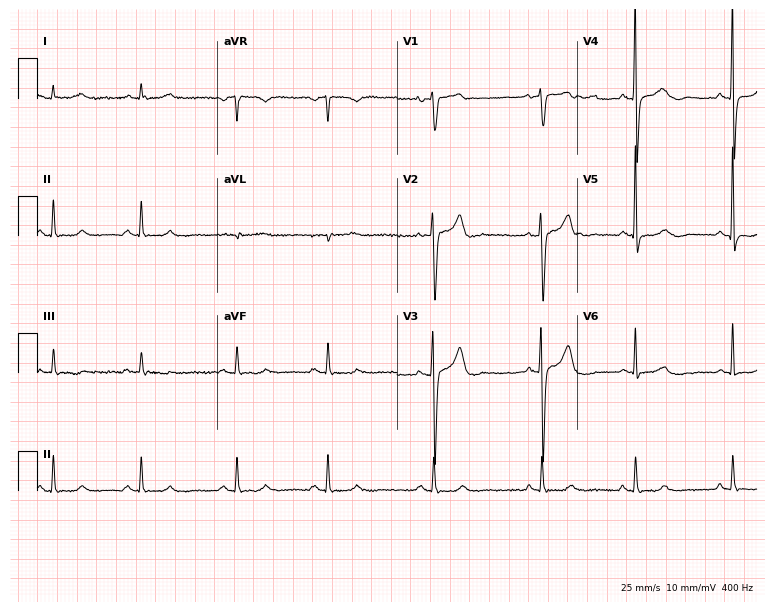
Electrocardiogram (7.3-second recording at 400 Hz), a male patient, 74 years old. Overall reading on record: normal ECG.